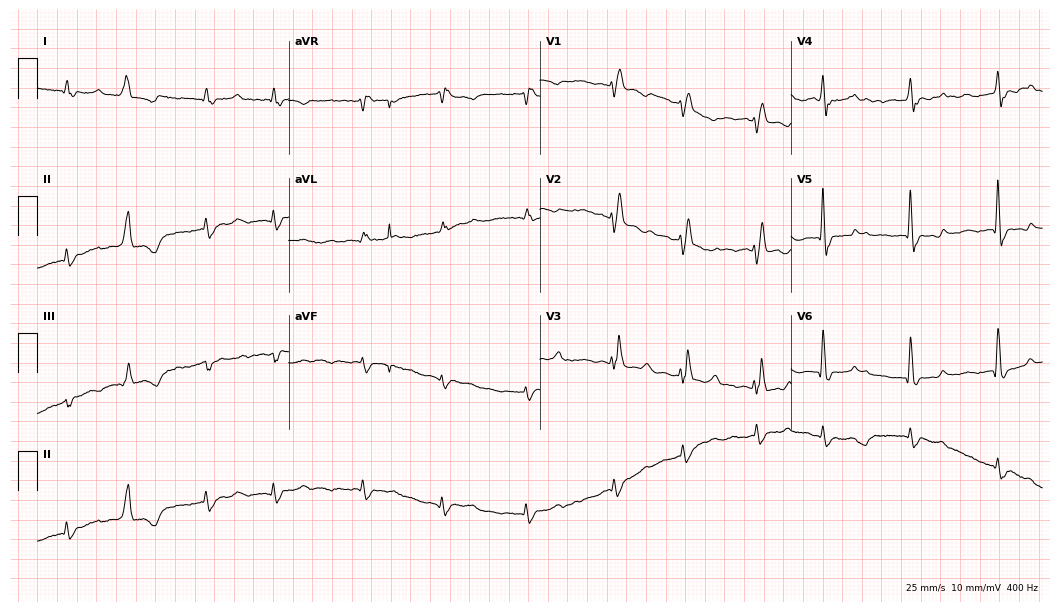
12-lead ECG from a man, 75 years old. No first-degree AV block, right bundle branch block, left bundle branch block, sinus bradycardia, atrial fibrillation or sinus tachycardia recorded for this tracing. Other findings, if any, are not listed.